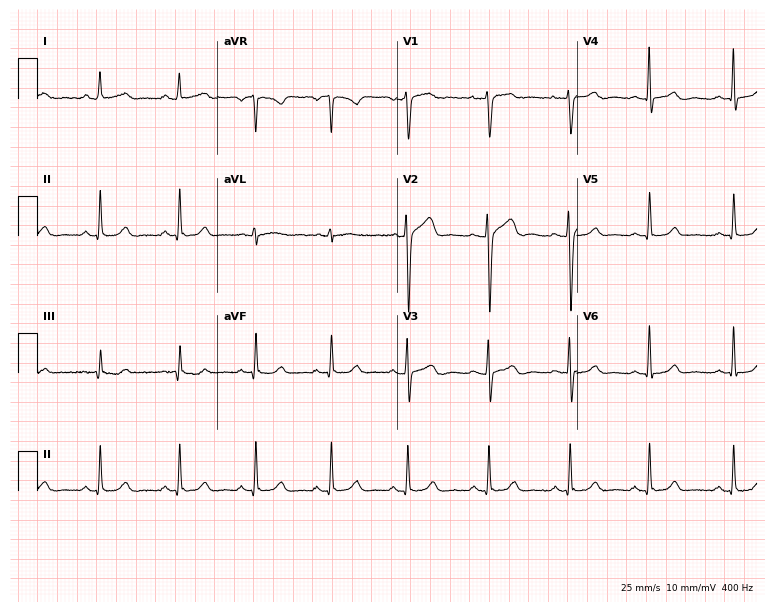
Electrocardiogram, a 31-year-old male patient. Overall reading on record: normal ECG.